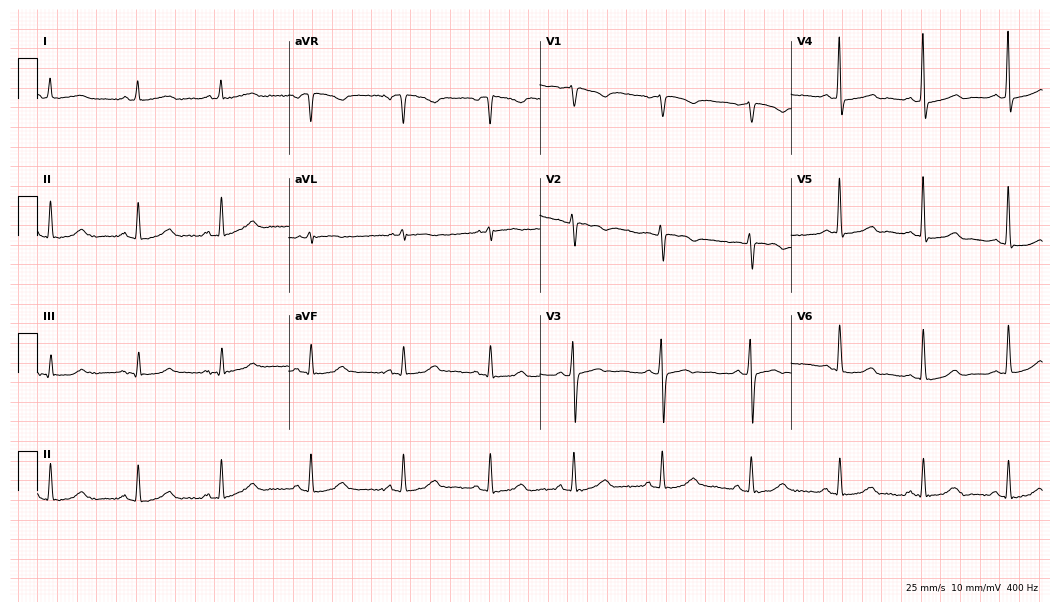
ECG (10.2-second recording at 400 Hz) — a woman, 72 years old. Screened for six findings — first-degree AV block, right bundle branch block, left bundle branch block, sinus bradycardia, atrial fibrillation, sinus tachycardia — none is recorded.